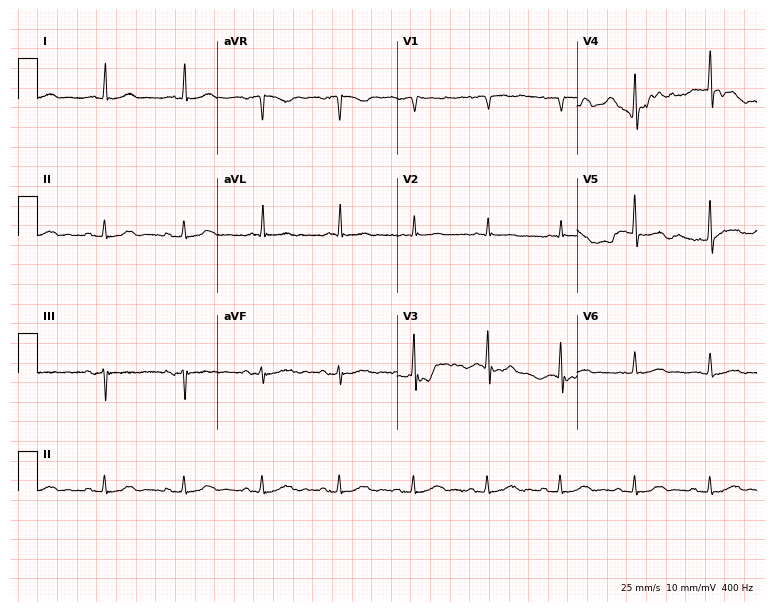
12-lead ECG from a male, 79 years old. Recorded interpretation: within normal limits.